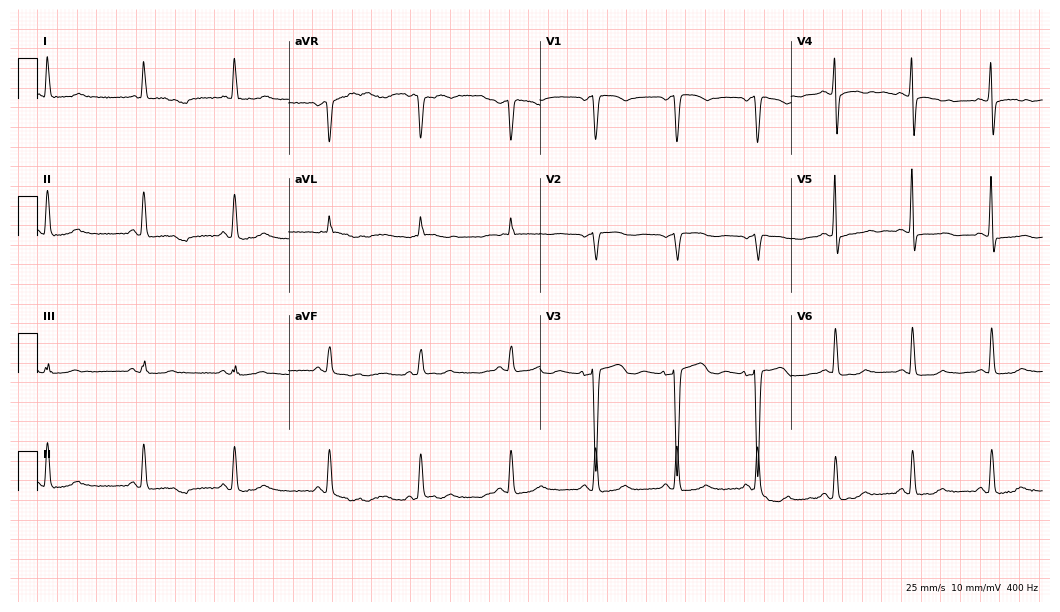
12-lead ECG from a female patient, 75 years old. Screened for six findings — first-degree AV block, right bundle branch block, left bundle branch block, sinus bradycardia, atrial fibrillation, sinus tachycardia — none is recorded. Only these six findings were labelled.